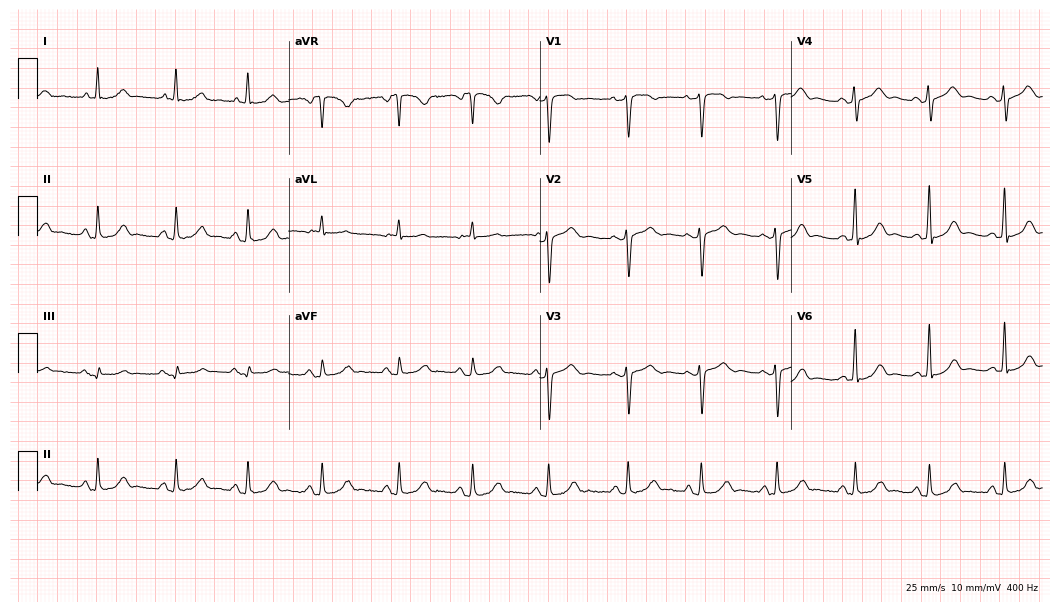
ECG — a 54-year-old woman. Screened for six findings — first-degree AV block, right bundle branch block, left bundle branch block, sinus bradycardia, atrial fibrillation, sinus tachycardia — none is recorded. Only these six findings were labelled.